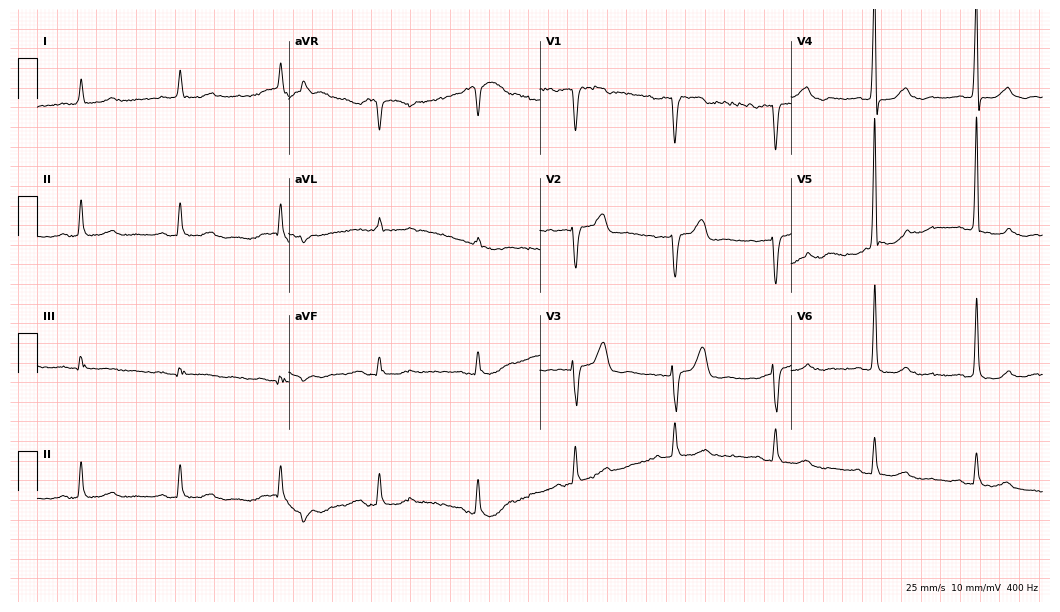
Electrocardiogram (10.2-second recording at 400 Hz), an 83-year-old woman. Overall reading on record: normal ECG.